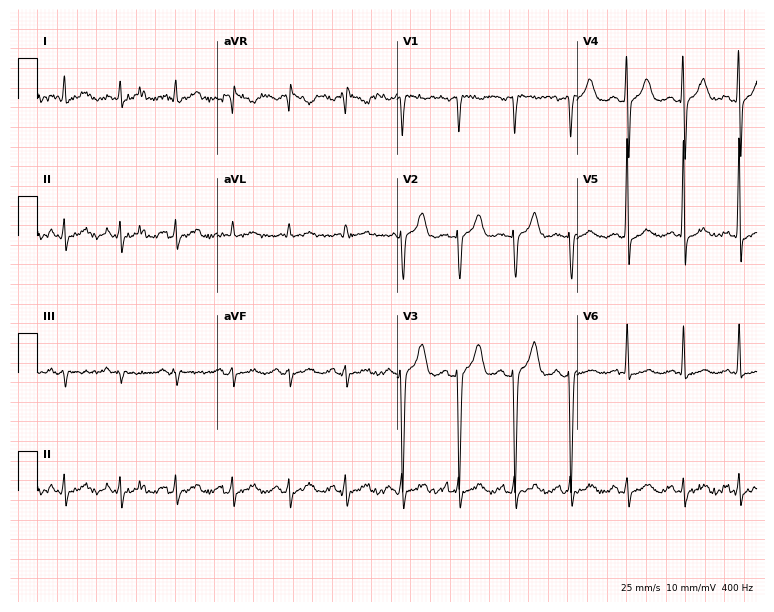
12-lead ECG (7.3-second recording at 400 Hz) from a man, 40 years old. Findings include sinus tachycardia (a sinus rate of 100 beats per minute or more).